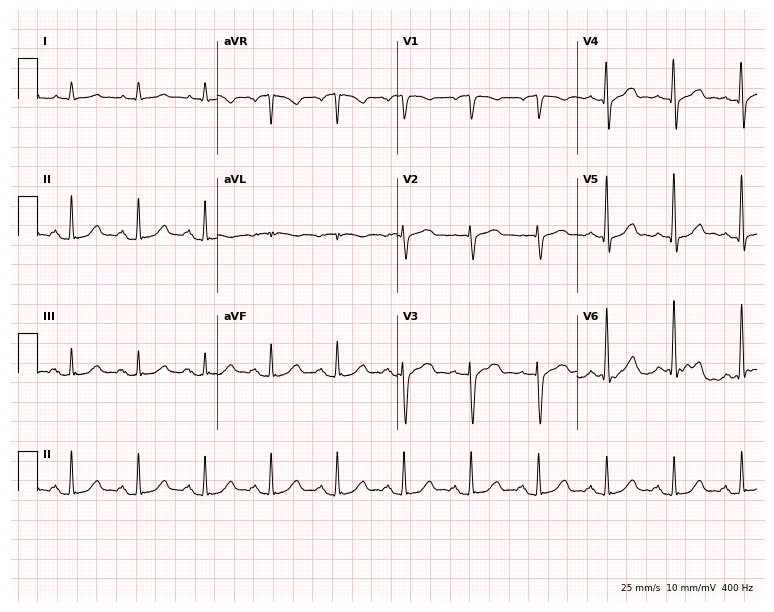
12-lead ECG from a man, 72 years old. Labelled as a normal ECG.